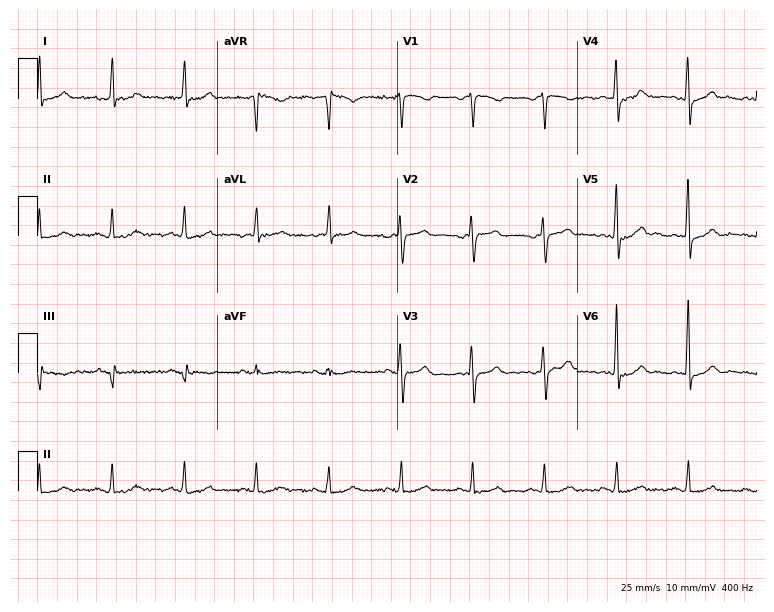
ECG (7.3-second recording at 400 Hz) — a 60-year-old female. Labelled as a normal ECG.